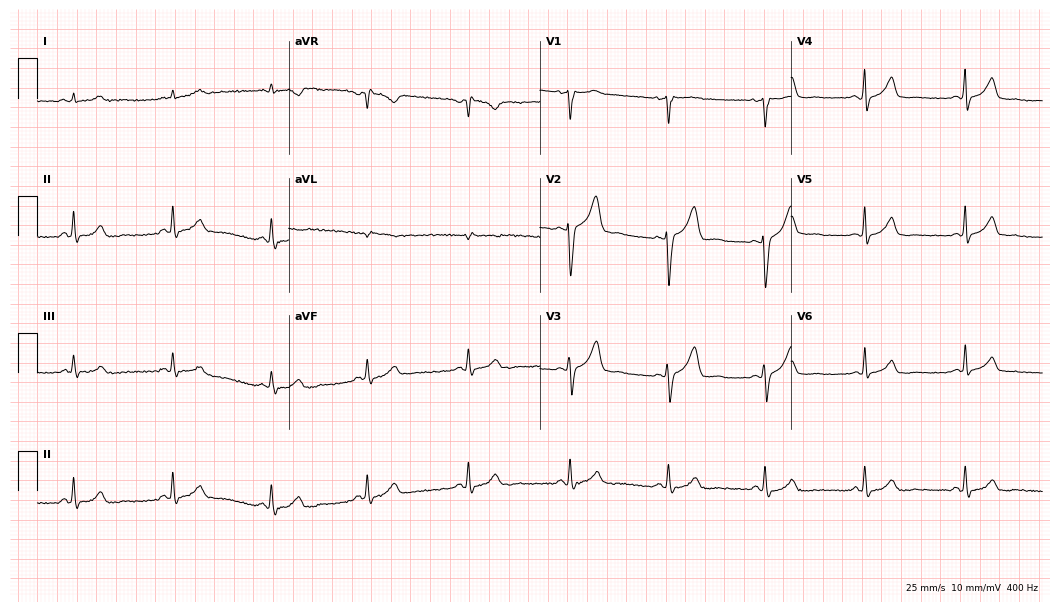
Electrocardiogram (10.2-second recording at 400 Hz), a female patient, 50 years old. Of the six screened findings (first-degree AV block, right bundle branch block (RBBB), left bundle branch block (LBBB), sinus bradycardia, atrial fibrillation (AF), sinus tachycardia), none is recorded. Other findings, if any, are not listed.